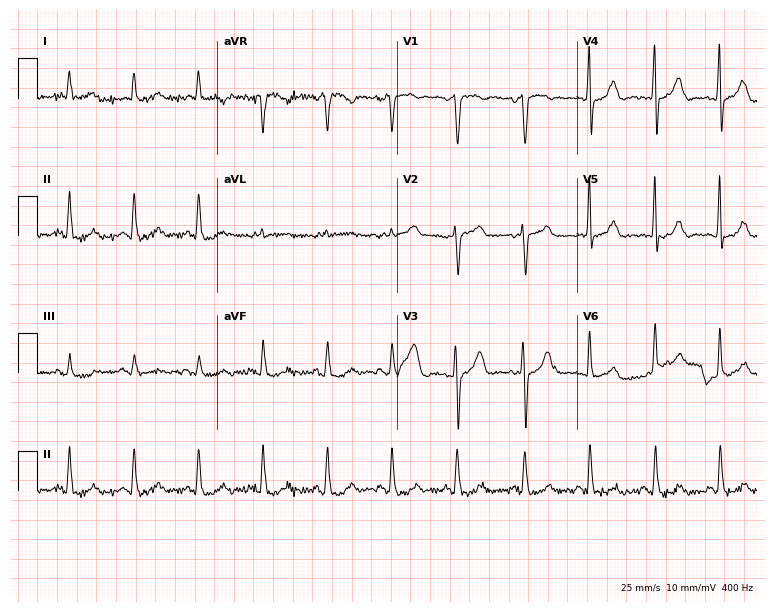
ECG — a male patient, 75 years old. Labelled as a normal ECG.